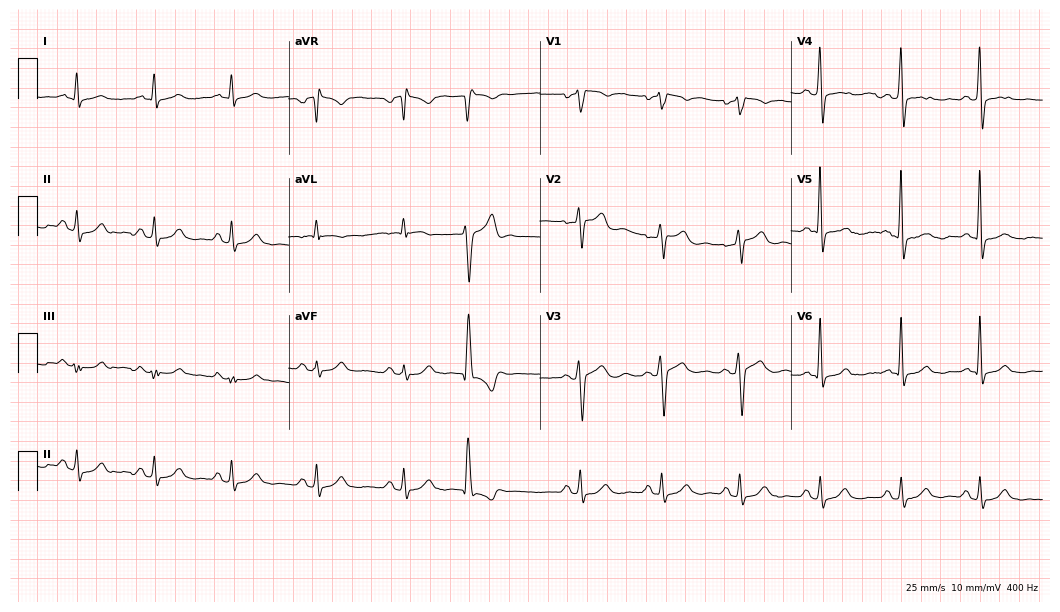
Standard 12-lead ECG recorded from a man, 31 years old (10.2-second recording at 400 Hz). None of these six findings is recorded: first-degree AV block, right bundle branch block (RBBB), left bundle branch block (LBBB), sinus bradycardia, atrial fibrillation (AF), sinus tachycardia.